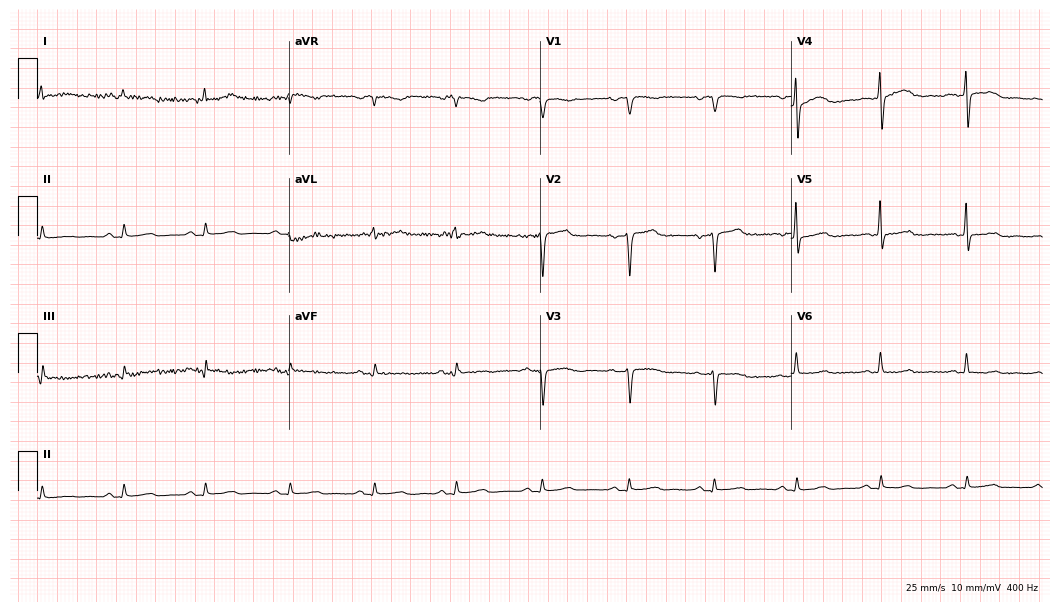
Resting 12-lead electrocardiogram (10.2-second recording at 400 Hz). Patient: a male, 81 years old. None of these six findings is recorded: first-degree AV block, right bundle branch block, left bundle branch block, sinus bradycardia, atrial fibrillation, sinus tachycardia.